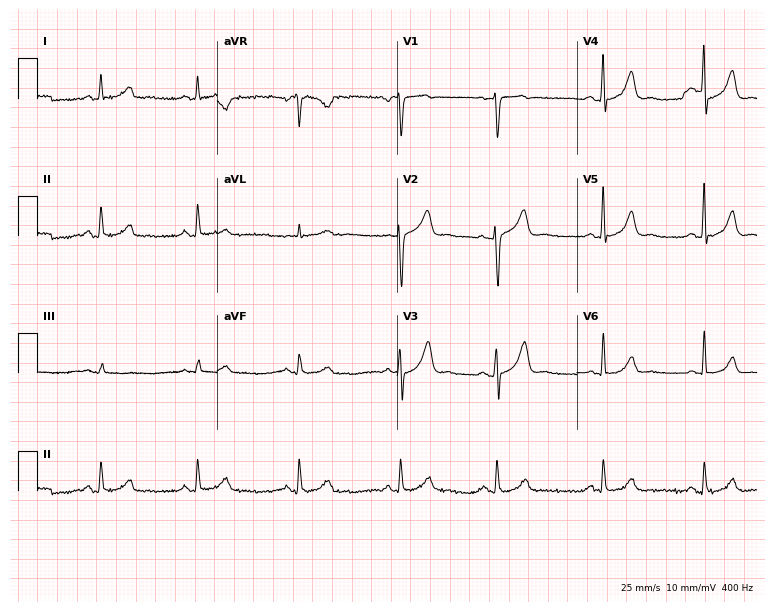
Standard 12-lead ECG recorded from a male, 44 years old (7.3-second recording at 400 Hz). Read as a normal ECG.